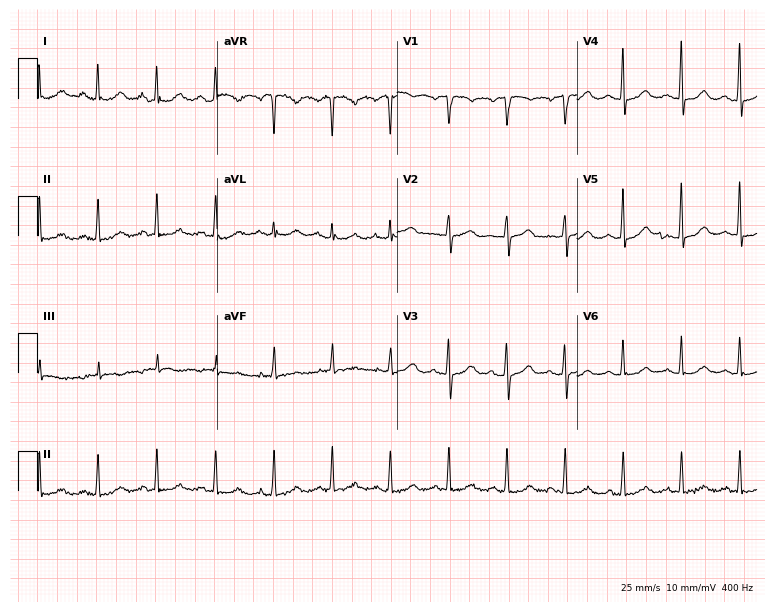
Electrocardiogram, a female, 66 years old. Interpretation includes sinus tachycardia (a sinus rate of 100 beats per minute or more).